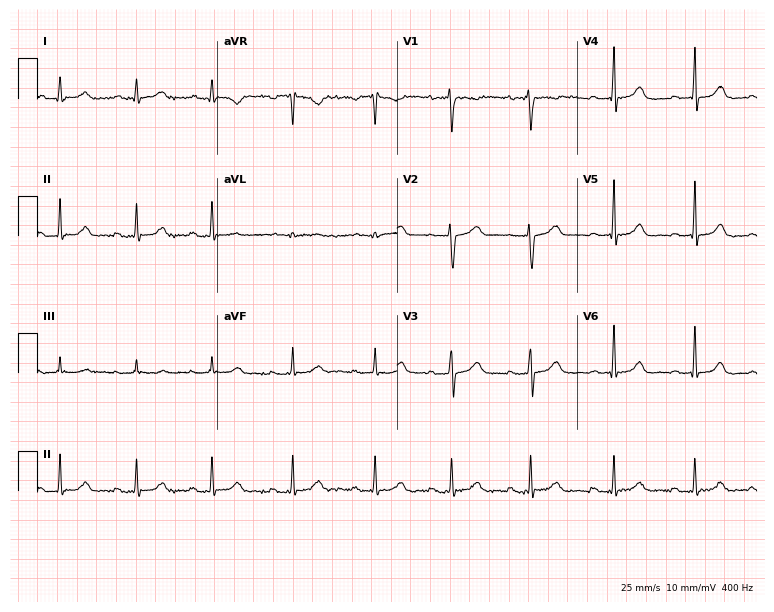
ECG — a woman, 63 years old. Labelled as a normal ECG.